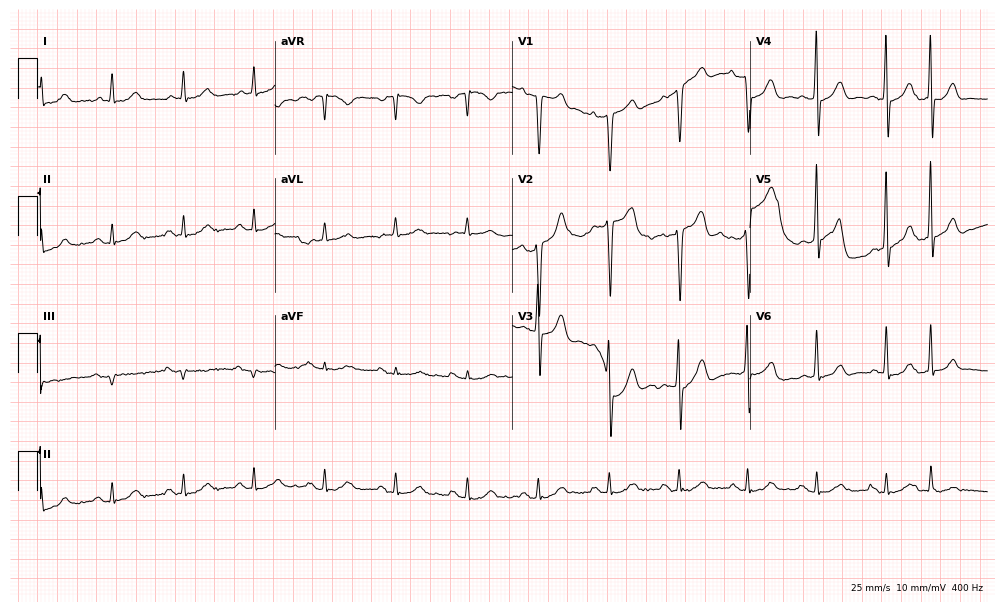
Electrocardiogram (9.7-second recording at 400 Hz), a 70-year-old female patient. Overall reading on record: normal ECG.